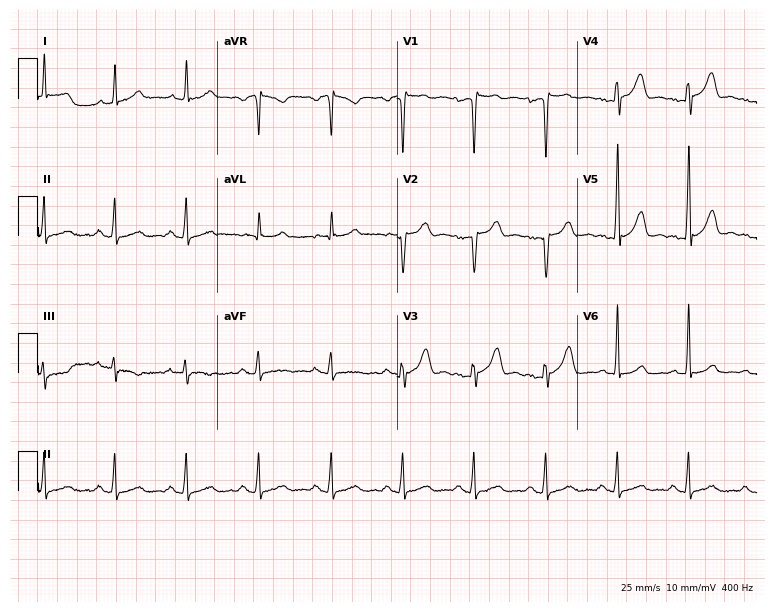
Resting 12-lead electrocardiogram. Patient: a male, 42 years old. None of these six findings is recorded: first-degree AV block, right bundle branch block, left bundle branch block, sinus bradycardia, atrial fibrillation, sinus tachycardia.